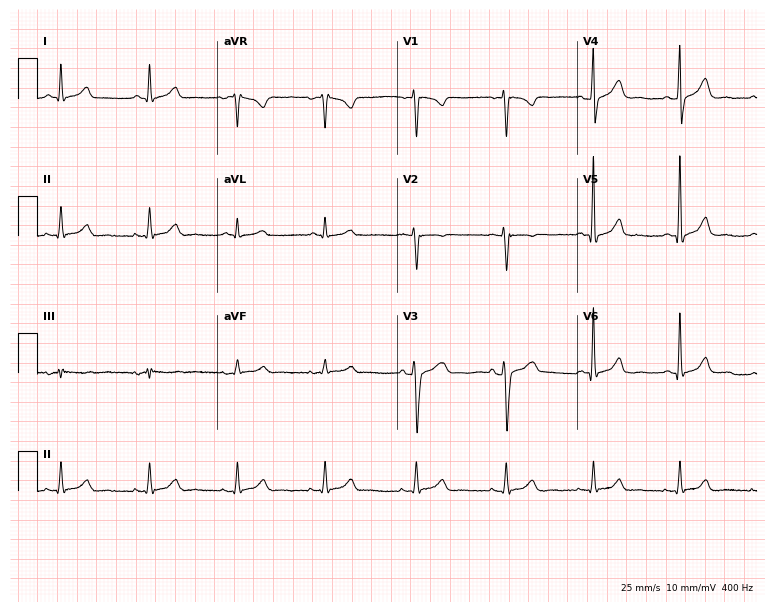
Standard 12-lead ECG recorded from a man, 44 years old. Read as a normal ECG.